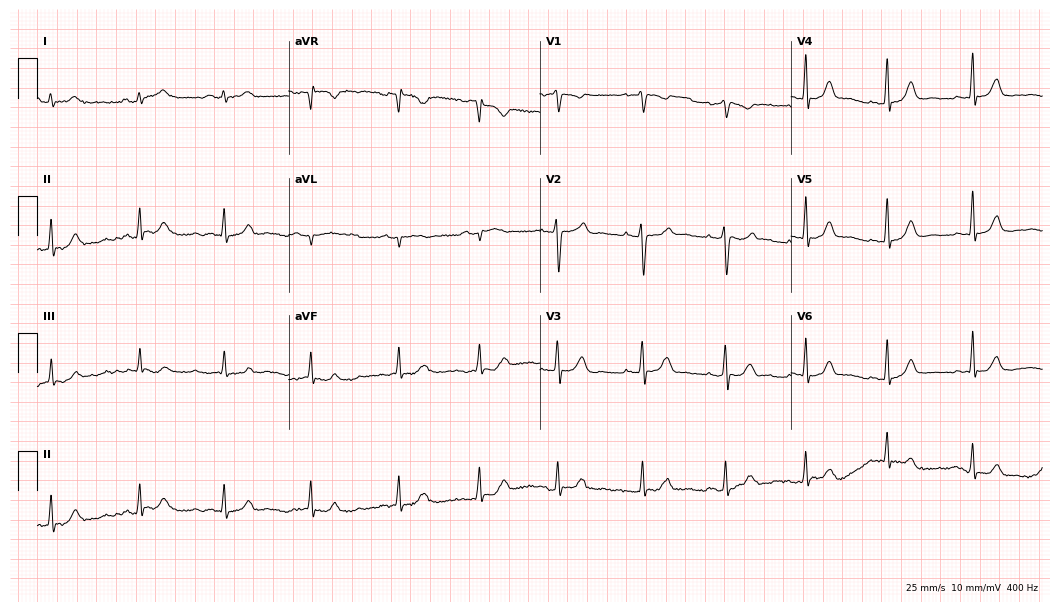
Resting 12-lead electrocardiogram (10.2-second recording at 400 Hz). Patient: a 33-year-old woman. Read as a normal ECG.